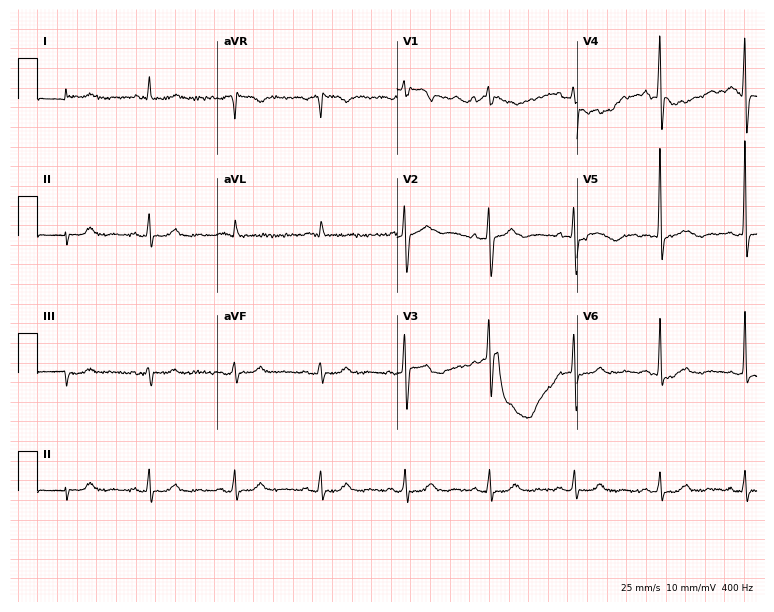
12-lead ECG from a woman, 83 years old. No first-degree AV block, right bundle branch block (RBBB), left bundle branch block (LBBB), sinus bradycardia, atrial fibrillation (AF) or sinus tachycardia recorded for this tracing. Only these six findings were labelled.